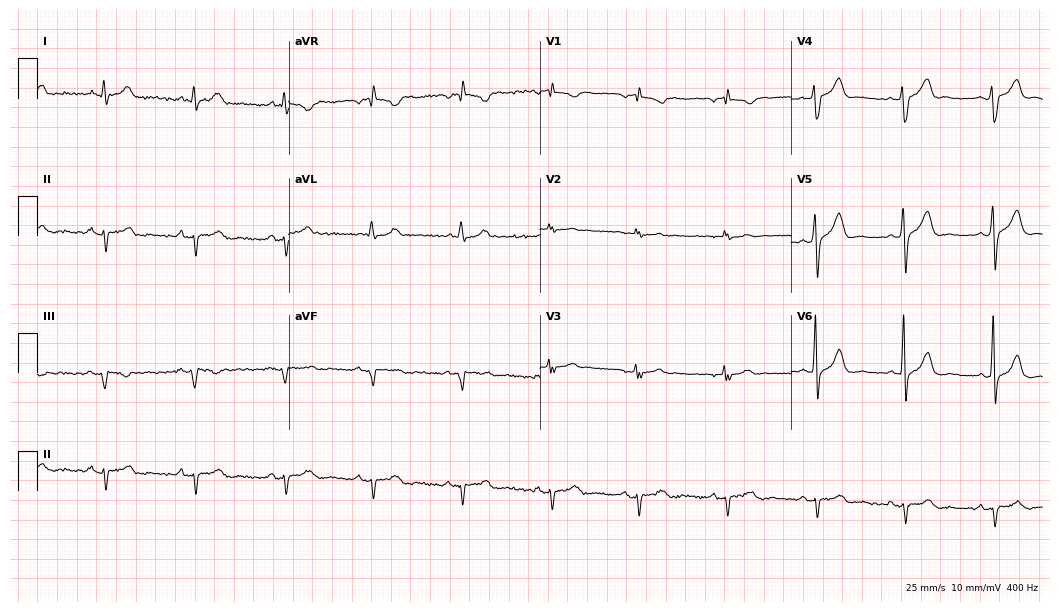
Resting 12-lead electrocardiogram (10.2-second recording at 400 Hz). Patient: a man, 45 years old. None of these six findings is recorded: first-degree AV block, right bundle branch block (RBBB), left bundle branch block (LBBB), sinus bradycardia, atrial fibrillation (AF), sinus tachycardia. Other findings, if any, are not listed.